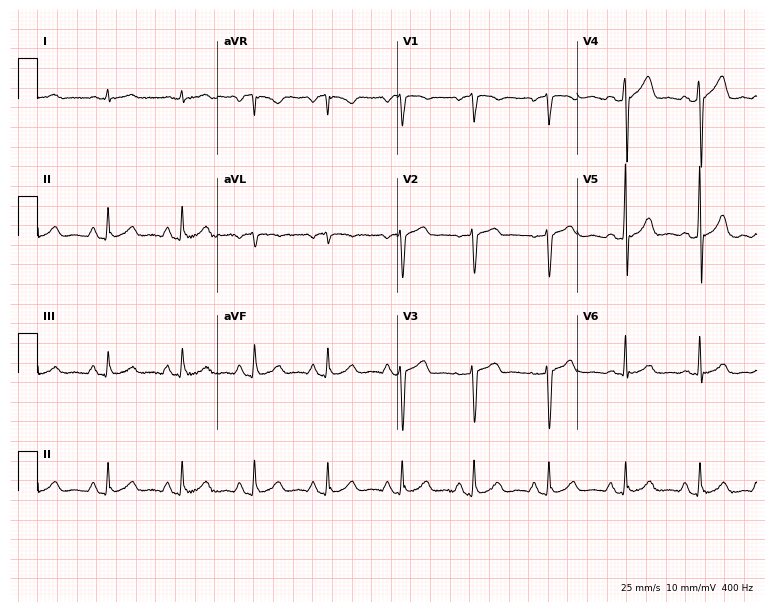
12-lead ECG from a 62-year-old man. Labelled as a normal ECG.